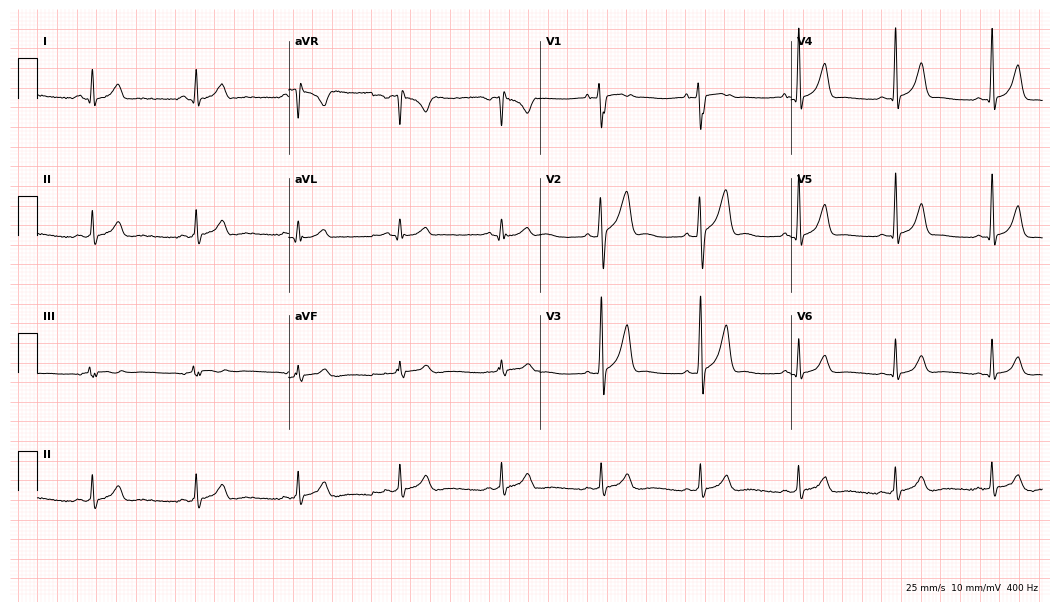
Standard 12-lead ECG recorded from a 26-year-old male patient (10.2-second recording at 400 Hz). None of these six findings is recorded: first-degree AV block, right bundle branch block, left bundle branch block, sinus bradycardia, atrial fibrillation, sinus tachycardia.